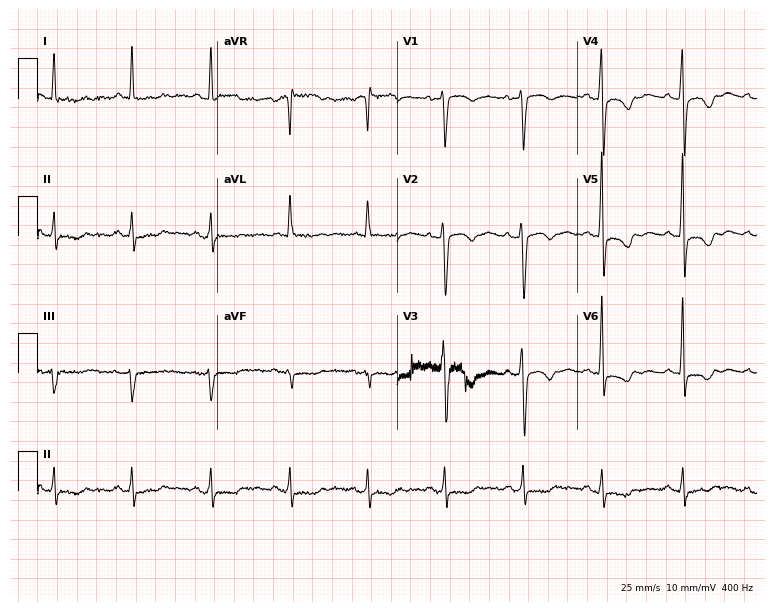
12-lead ECG from a 62-year-old woman. Screened for six findings — first-degree AV block, right bundle branch block (RBBB), left bundle branch block (LBBB), sinus bradycardia, atrial fibrillation (AF), sinus tachycardia — none is recorded.